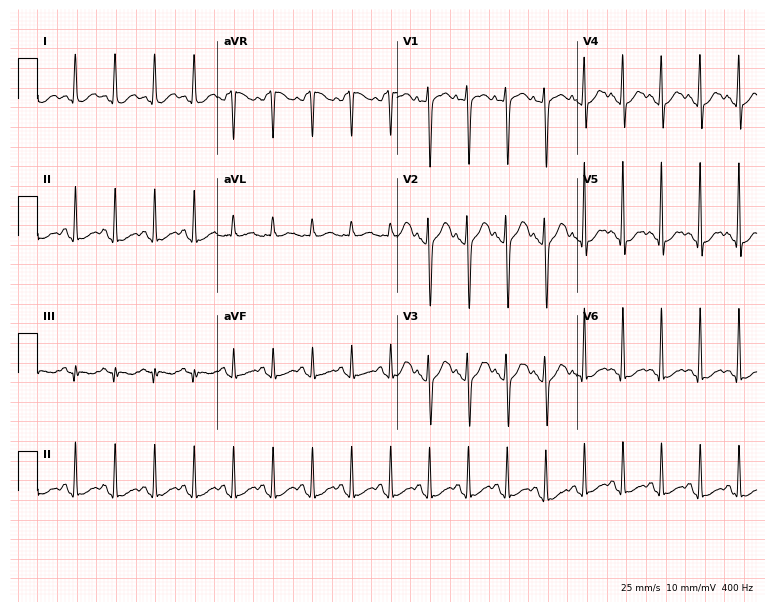
12-lead ECG from a 32-year-old woman (7.3-second recording at 400 Hz). Shows sinus tachycardia (a sinus rate of 100 beats per minute or more).